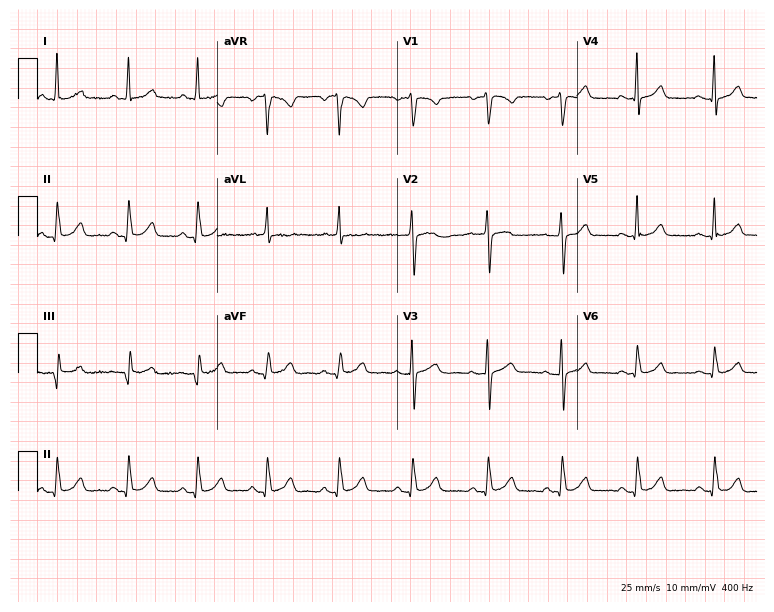
Resting 12-lead electrocardiogram (7.3-second recording at 400 Hz). Patient: a 49-year-old female. None of these six findings is recorded: first-degree AV block, right bundle branch block (RBBB), left bundle branch block (LBBB), sinus bradycardia, atrial fibrillation (AF), sinus tachycardia.